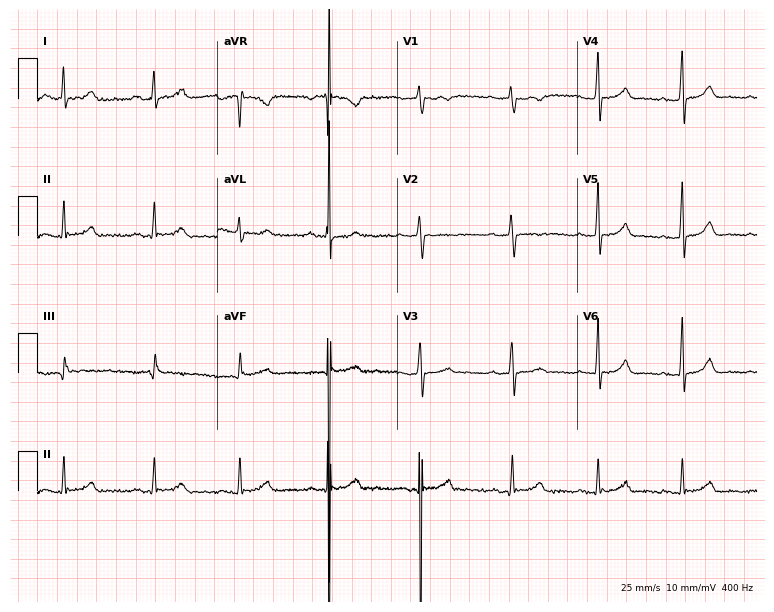
Electrocardiogram (7.3-second recording at 400 Hz), a female patient, 43 years old. Overall reading on record: normal ECG.